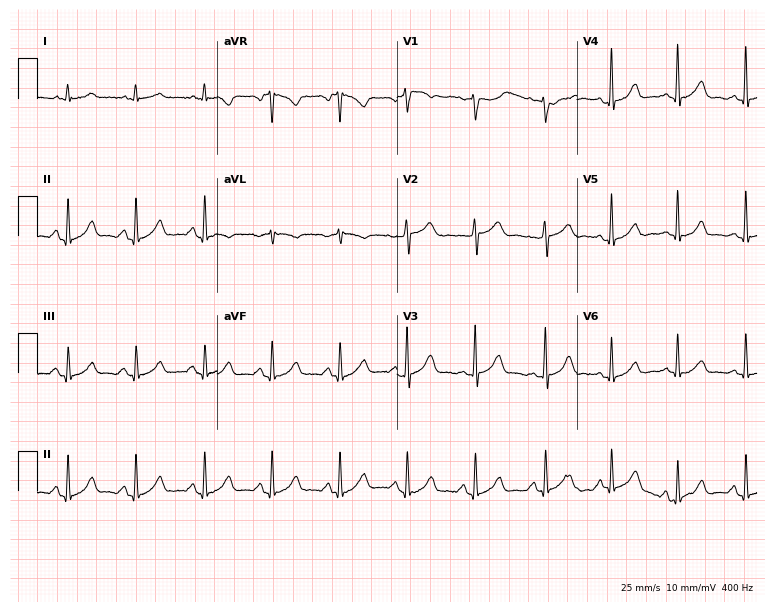
12-lead ECG from a 50-year-old female patient. Recorded interpretation: within normal limits.